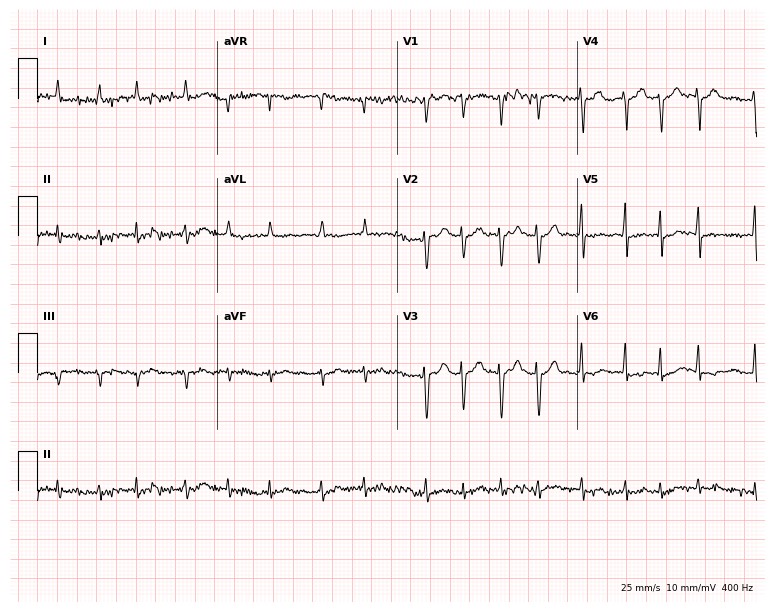
Electrocardiogram (7.3-second recording at 400 Hz), a 75-year-old woman. Interpretation includes atrial fibrillation.